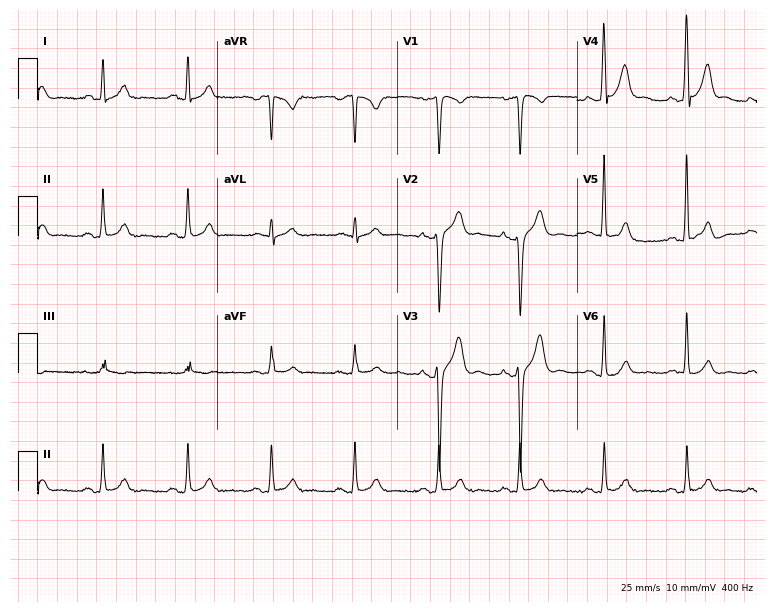
Resting 12-lead electrocardiogram (7.3-second recording at 400 Hz). Patient: a man, 32 years old. Read as a normal ECG.